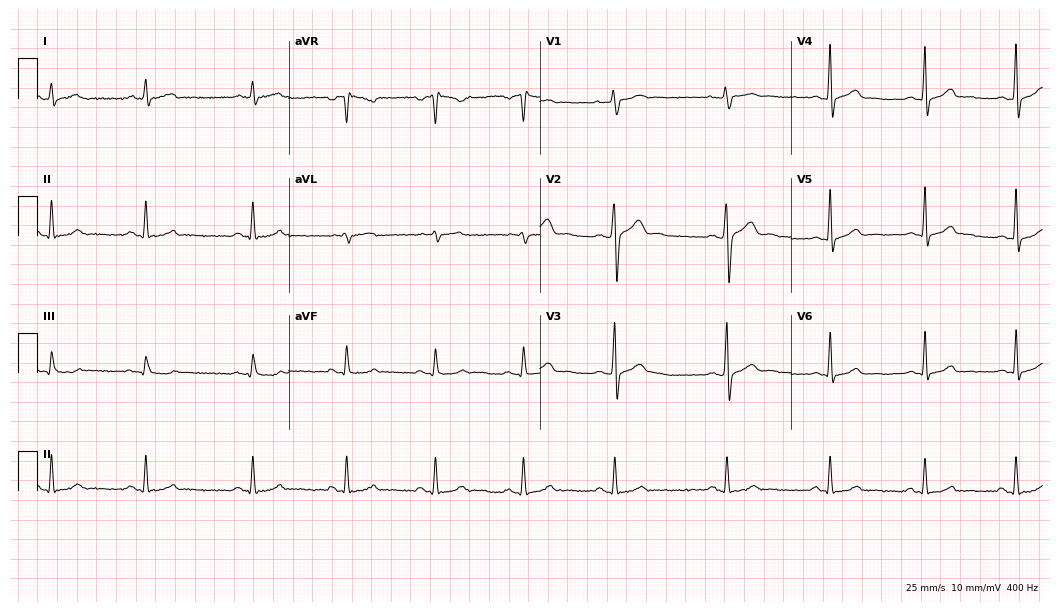
12-lead ECG from a man, 21 years old. No first-degree AV block, right bundle branch block, left bundle branch block, sinus bradycardia, atrial fibrillation or sinus tachycardia recorded for this tracing. Findings outside these six are not listed.